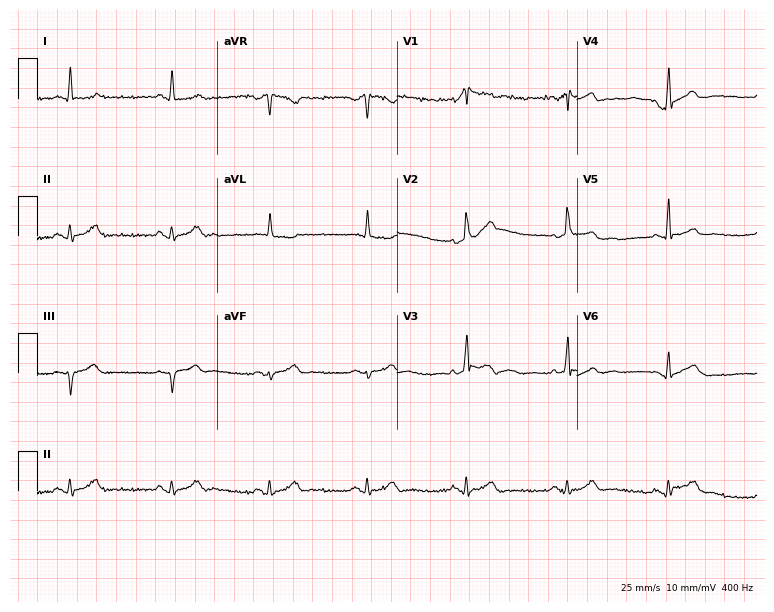
Resting 12-lead electrocardiogram. Patient: a 64-year-old male. None of these six findings is recorded: first-degree AV block, right bundle branch block, left bundle branch block, sinus bradycardia, atrial fibrillation, sinus tachycardia.